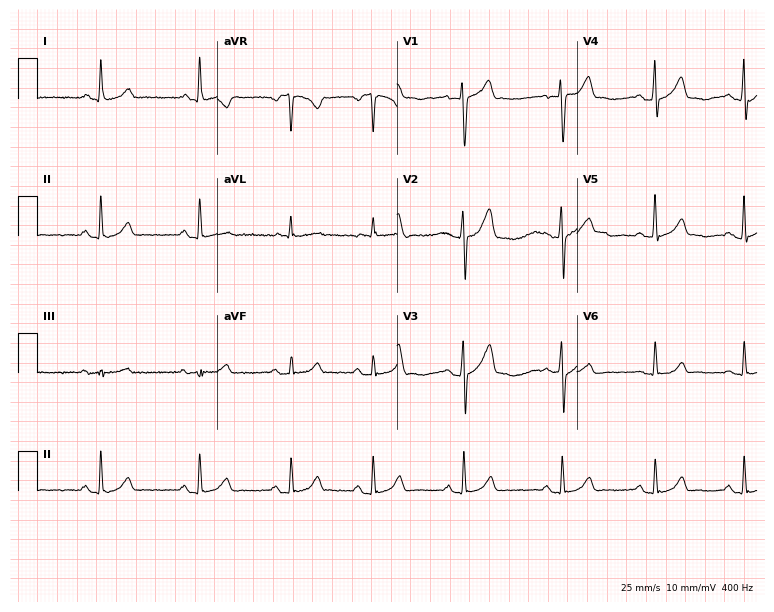
Electrocardiogram (7.3-second recording at 400 Hz), a 21-year-old male patient. Overall reading on record: normal ECG.